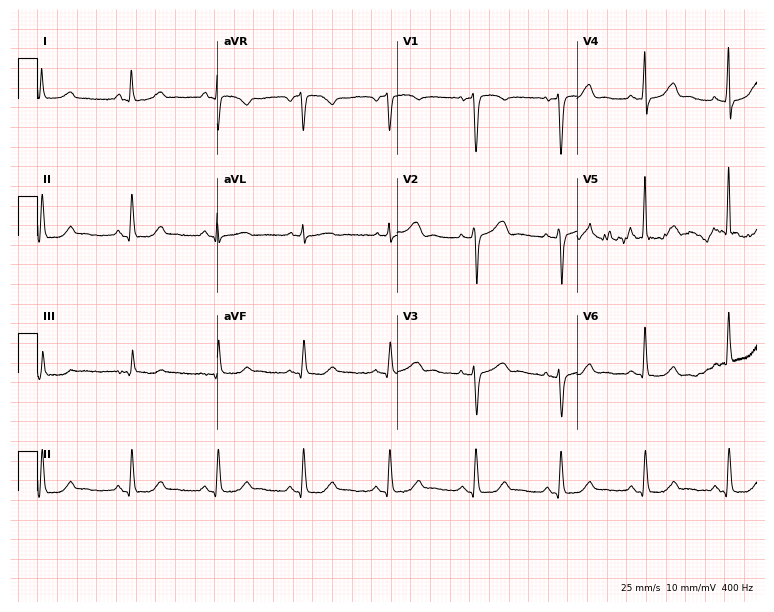
Standard 12-lead ECG recorded from a female patient, 68 years old (7.3-second recording at 400 Hz). Read as a normal ECG.